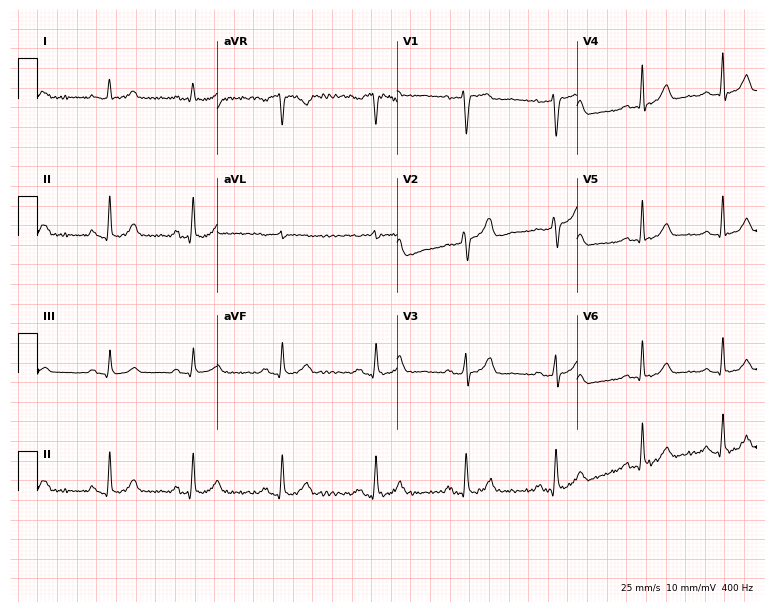
Electrocardiogram, a female, 48 years old. Of the six screened findings (first-degree AV block, right bundle branch block, left bundle branch block, sinus bradycardia, atrial fibrillation, sinus tachycardia), none is recorded. Only these six findings were labelled.